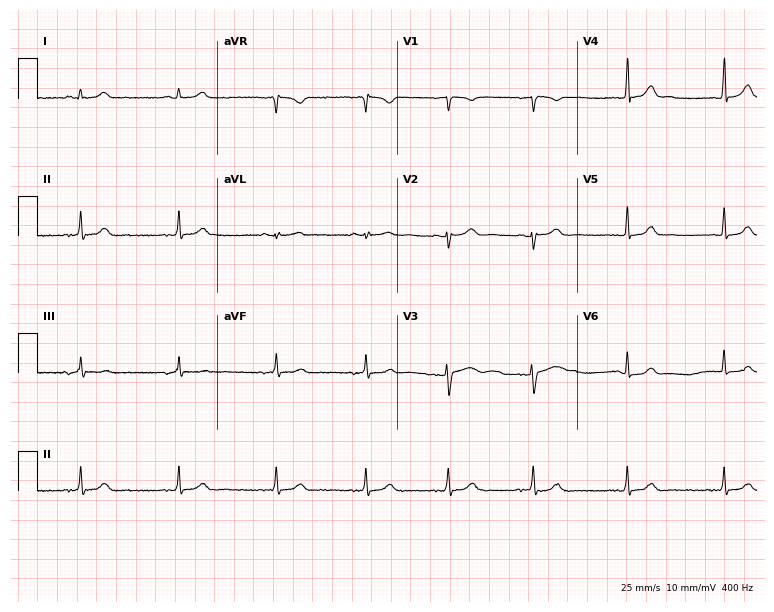
Resting 12-lead electrocardiogram (7.3-second recording at 400 Hz). Patient: a woman, 23 years old. None of these six findings is recorded: first-degree AV block, right bundle branch block, left bundle branch block, sinus bradycardia, atrial fibrillation, sinus tachycardia.